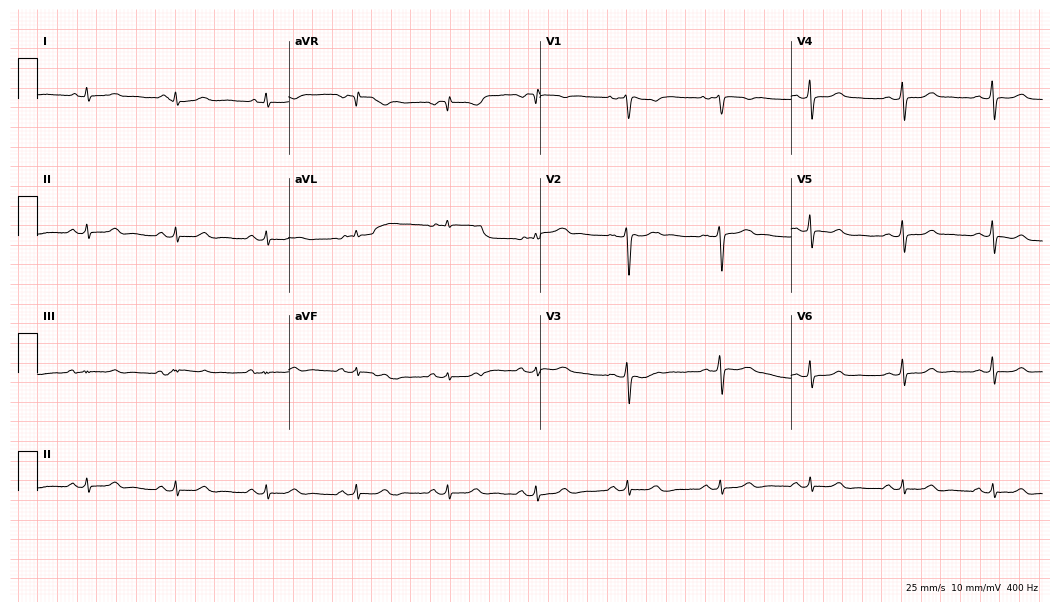
Standard 12-lead ECG recorded from a female, 36 years old. Read as a normal ECG.